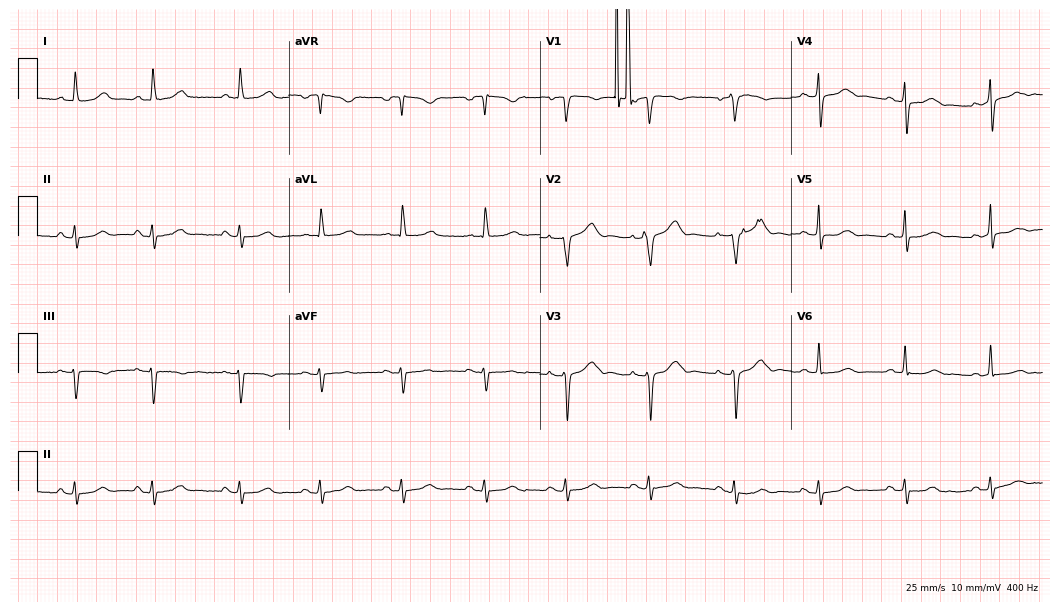
12-lead ECG from a 63-year-old woman (10.2-second recording at 400 Hz). No first-degree AV block, right bundle branch block, left bundle branch block, sinus bradycardia, atrial fibrillation or sinus tachycardia recorded for this tracing.